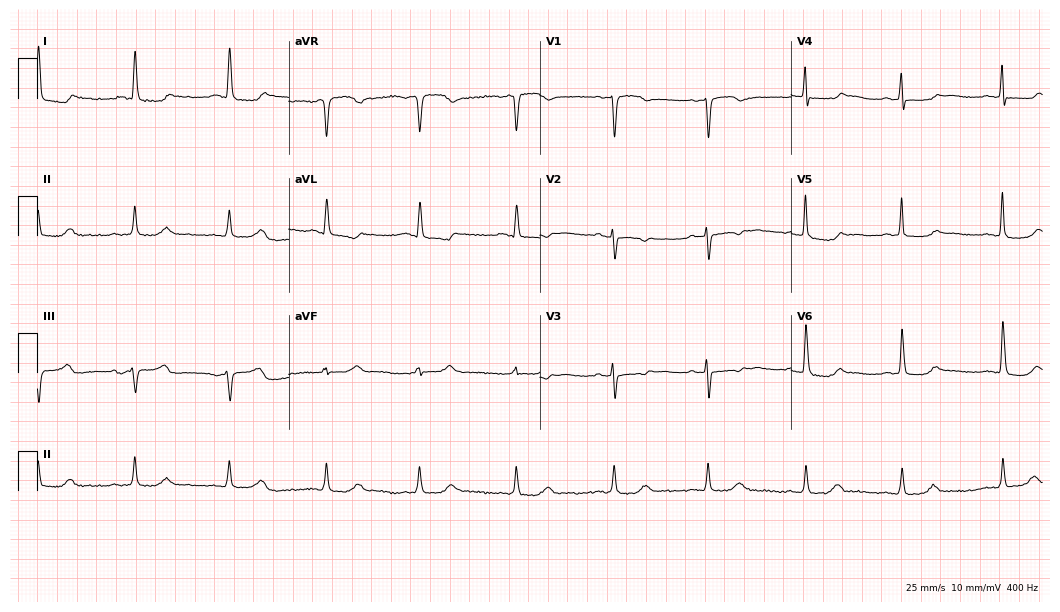
12-lead ECG from a 77-year-old woman (10.2-second recording at 400 Hz). No first-degree AV block, right bundle branch block, left bundle branch block, sinus bradycardia, atrial fibrillation or sinus tachycardia recorded for this tracing. Only these six findings were labelled.